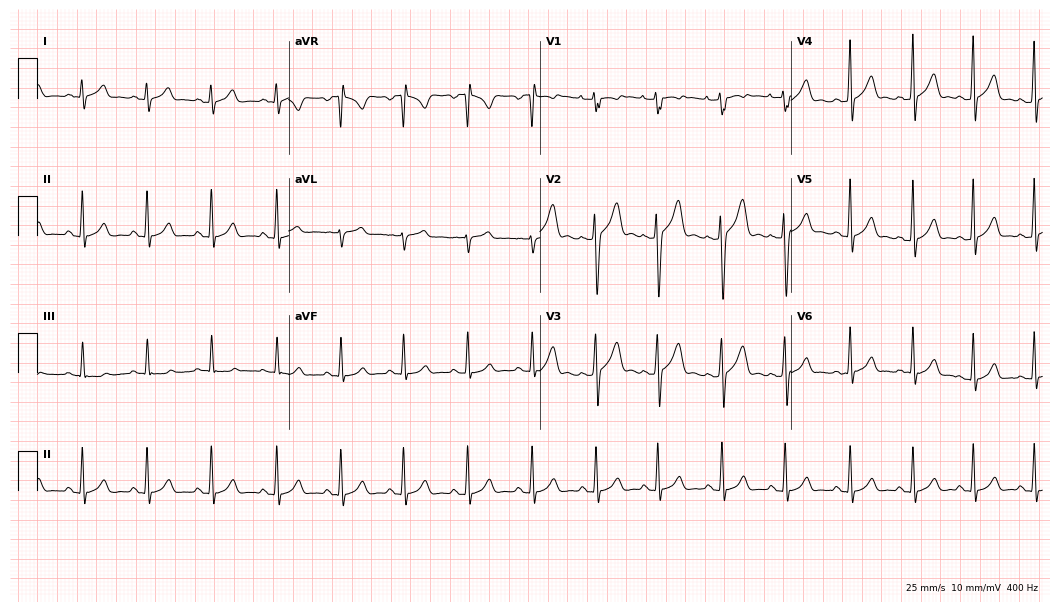
12-lead ECG (10.2-second recording at 400 Hz) from a man, 19 years old. Labelled as a normal ECG.